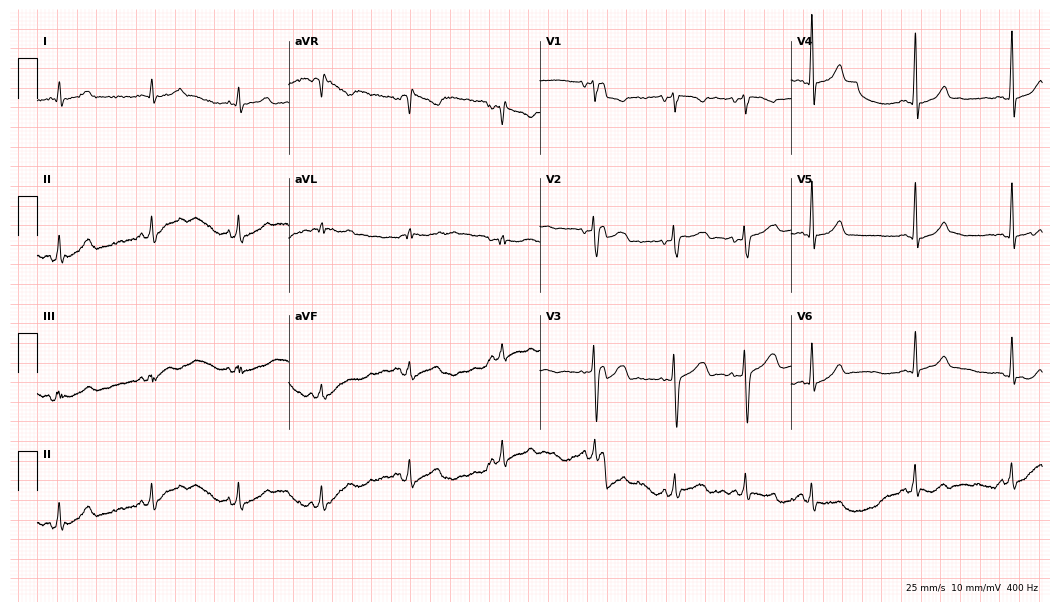
12-lead ECG from a male, 17 years old. Labelled as a normal ECG.